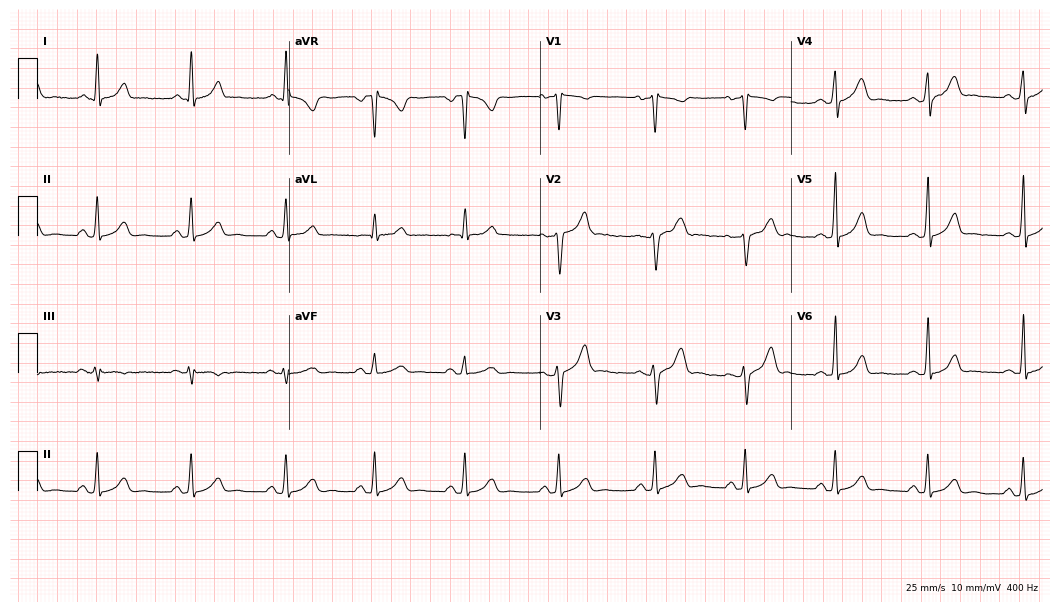
Electrocardiogram, a 31-year-old woman. Of the six screened findings (first-degree AV block, right bundle branch block, left bundle branch block, sinus bradycardia, atrial fibrillation, sinus tachycardia), none is recorded.